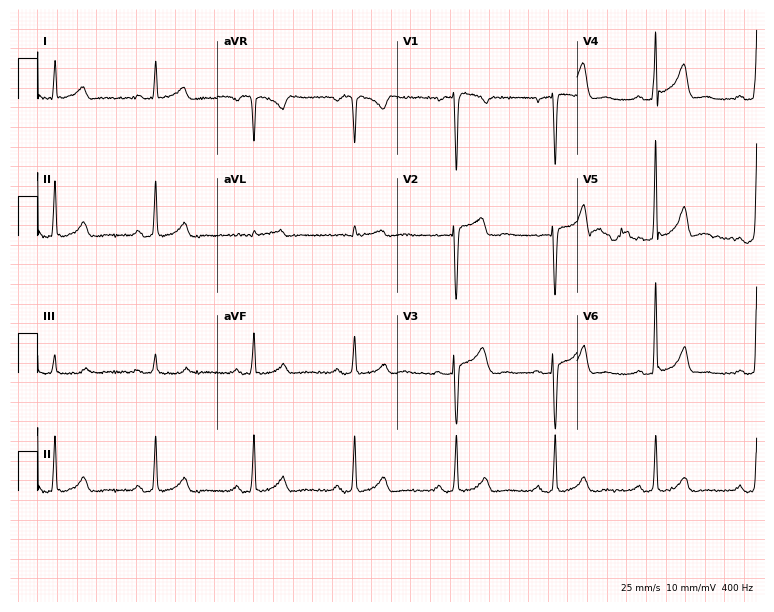
ECG — a female patient, 48 years old. Screened for six findings — first-degree AV block, right bundle branch block (RBBB), left bundle branch block (LBBB), sinus bradycardia, atrial fibrillation (AF), sinus tachycardia — none is recorded. Findings outside these six are not listed.